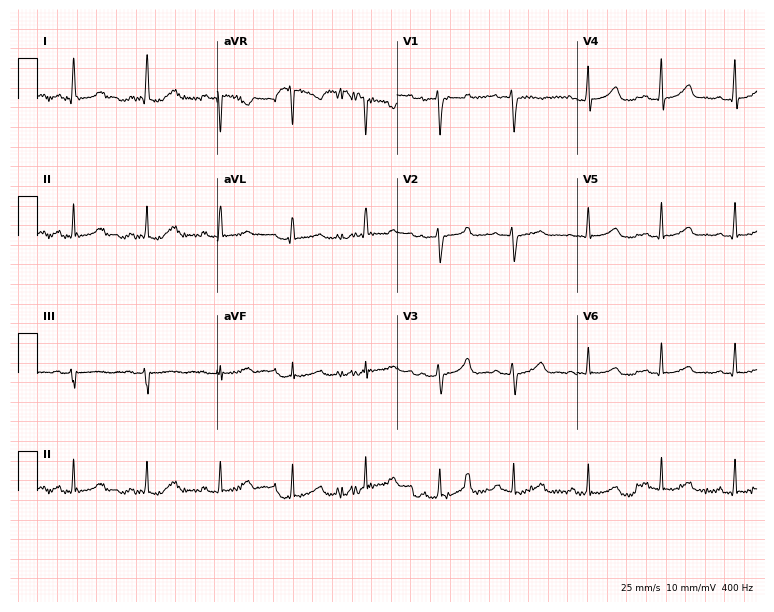
Electrocardiogram (7.3-second recording at 400 Hz), a female patient, 38 years old. Overall reading on record: normal ECG.